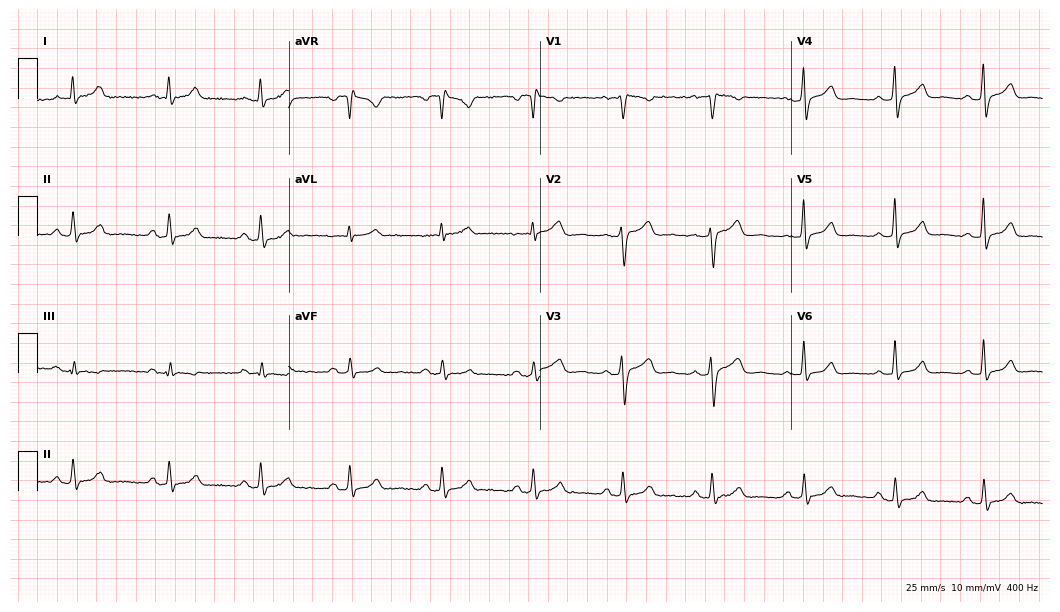
ECG (10.2-second recording at 400 Hz) — a female, 52 years old. Labelled as a normal ECG.